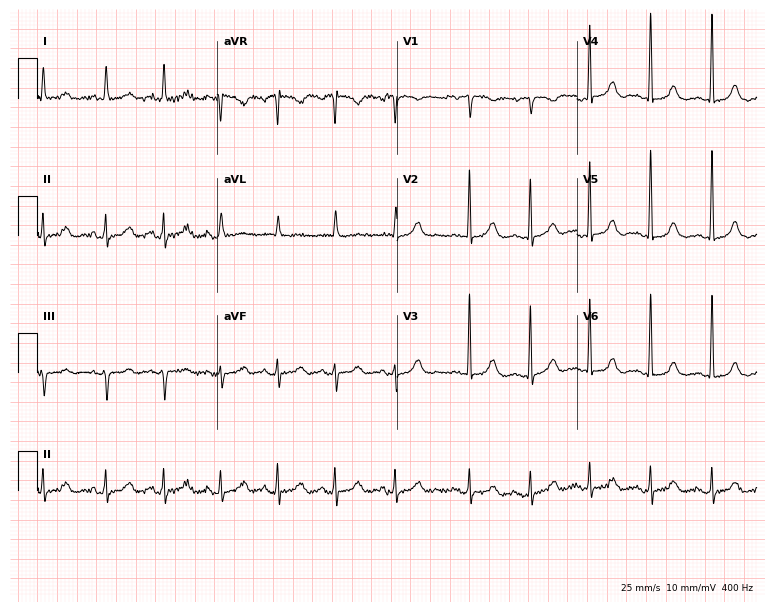
ECG (7.3-second recording at 400 Hz) — a female patient, 82 years old. Screened for six findings — first-degree AV block, right bundle branch block, left bundle branch block, sinus bradycardia, atrial fibrillation, sinus tachycardia — none is recorded.